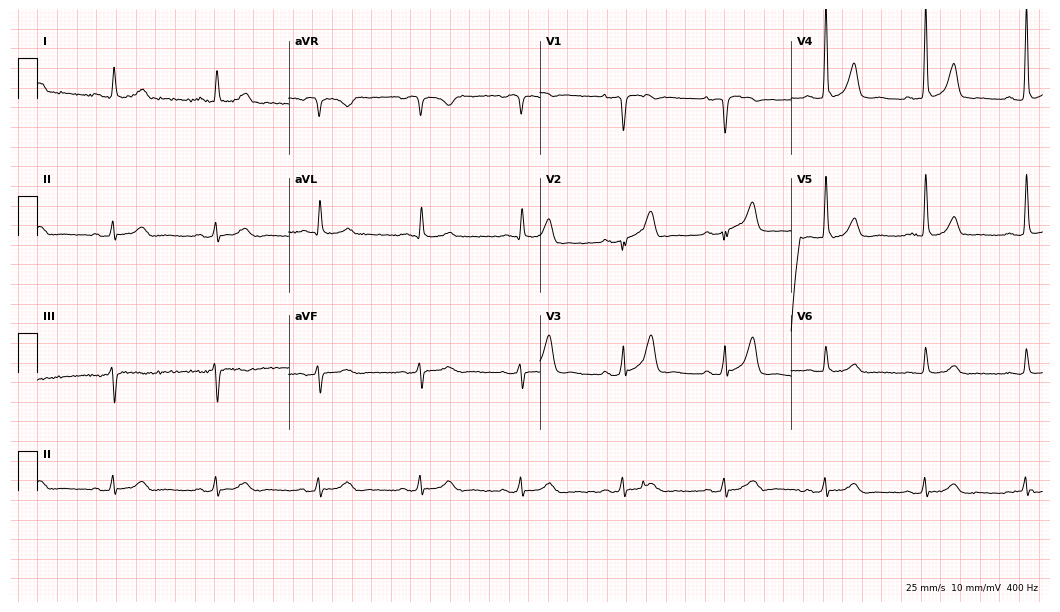
12-lead ECG (10.2-second recording at 400 Hz) from an 82-year-old male patient. Labelled as a normal ECG.